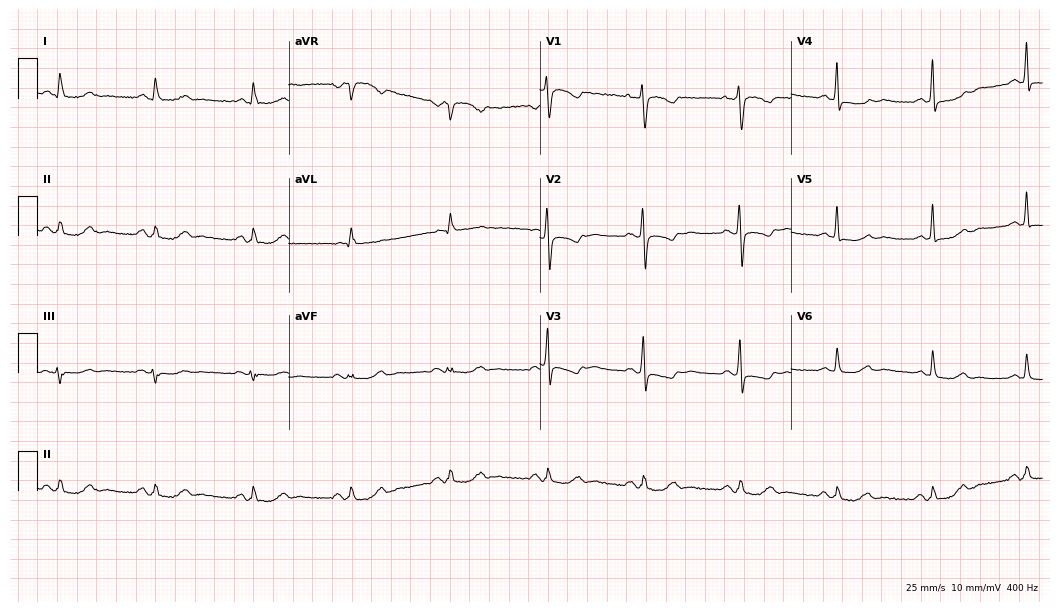
Electrocardiogram (10.2-second recording at 400 Hz), a 68-year-old woman. Of the six screened findings (first-degree AV block, right bundle branch block (RBBB), left bundle branch block (LBBB), sinus bradycardia, atrial fibrillation (AF), sinus tachycardia), none is recorded. Other findings, if any, are not listed.